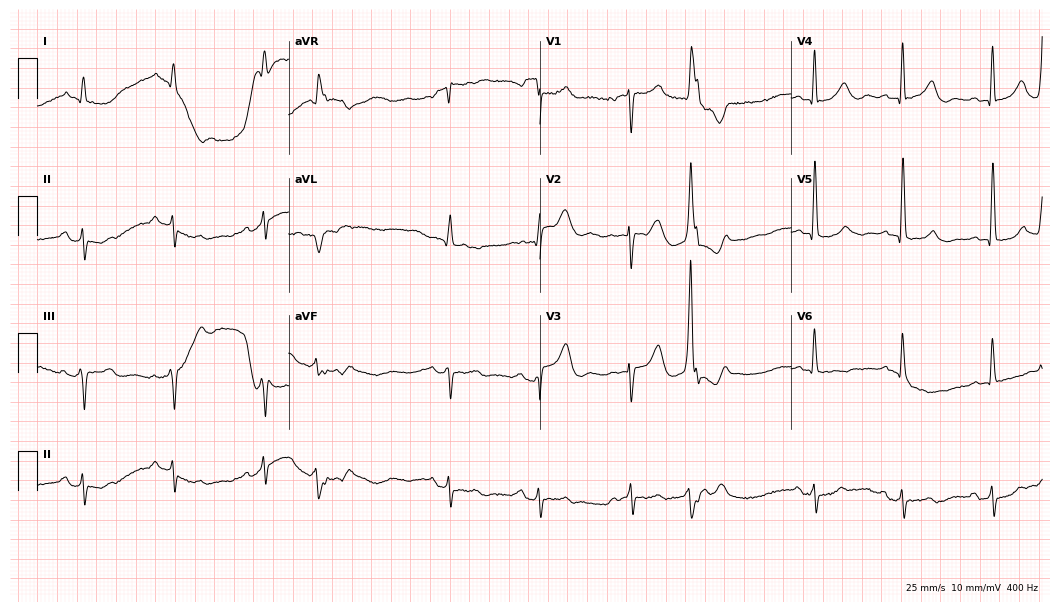
Resting 12-lead electrocardiogram (10.2-second recording at 400 Hz). Patient: an 83-year-old male. None of these six findings is recorded: first-degree AV block, right bundle branch block, left bundle branch block, sinus bradycardia, atrial fibrillation, sinus tachycardia. Only these six findings were labelled.